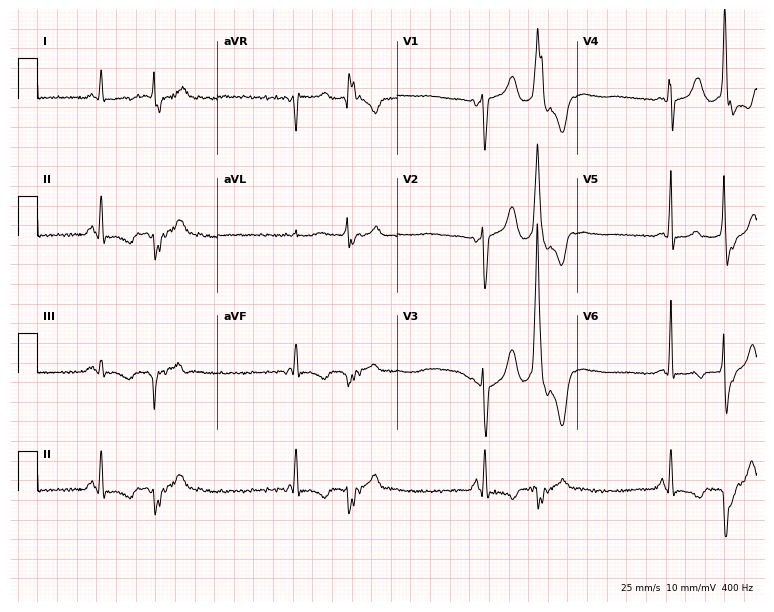
12-lead ECG from a woman, 49 years old. Labelled as a normal ECG.